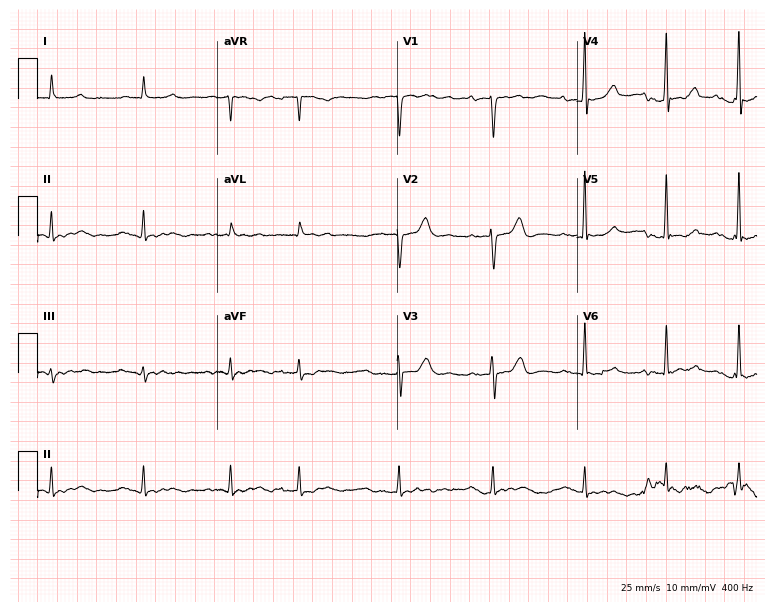
12-lead ECG from a man, 83 years old. Shows first-degree AV block.